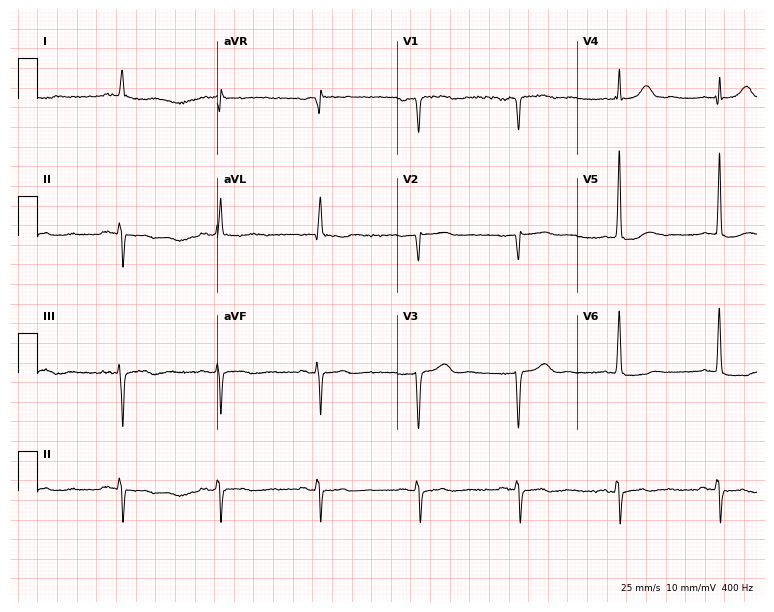
Standard 12-lead ECG recorded from a man, 81 years old. None of these six findings is recorded: first-degree AV block, right bundle branch block (RBBB), left bundle branch block (LBBB), sinus bradycardia, atrial fibrillation (AF), sinus tachycardia.